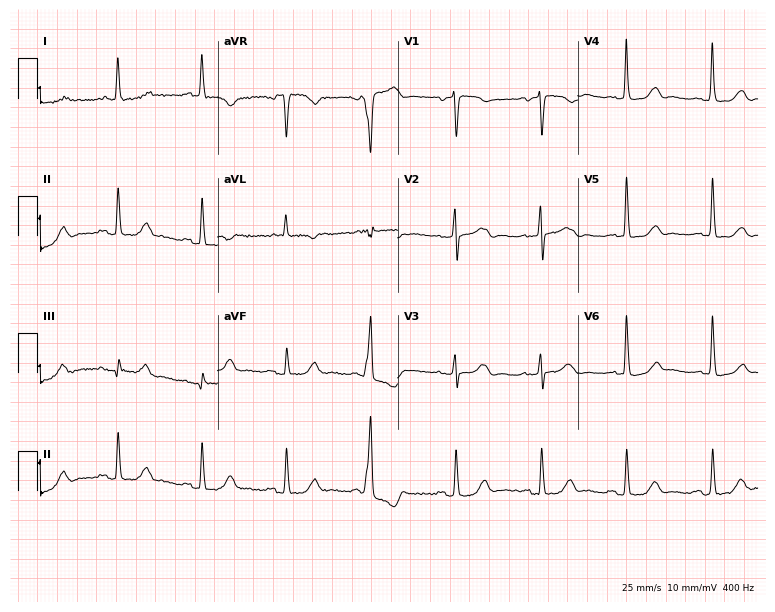
Resting 12-lead electrocardiogram. Patient: a 78-year-old female. None of these six findings is recorded: first-degree AV block, right bundle branch block, left bundle branch block, sinus bradycardia, atrial fibrillation, sinus tachycardia.